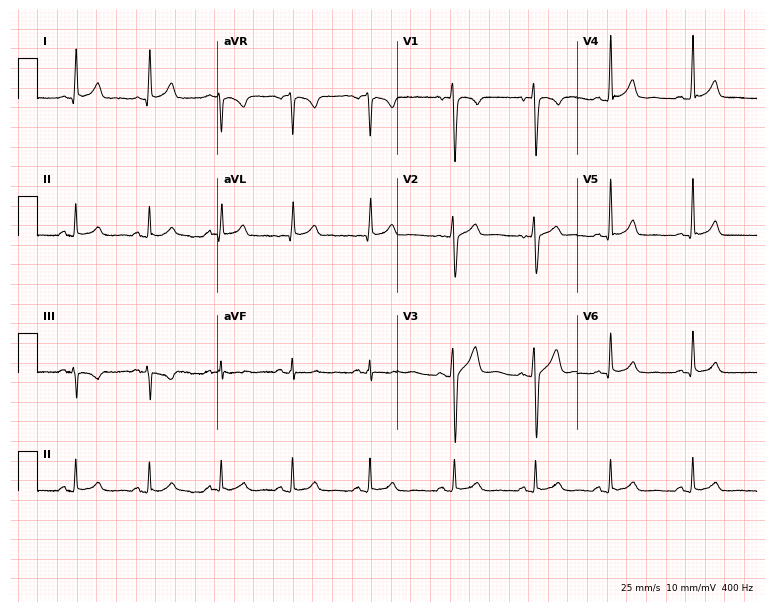
Electrocardiogram (7.3-second recording at 400 Hz), a man, 21 years old. Overall reading on record: normal ECG.